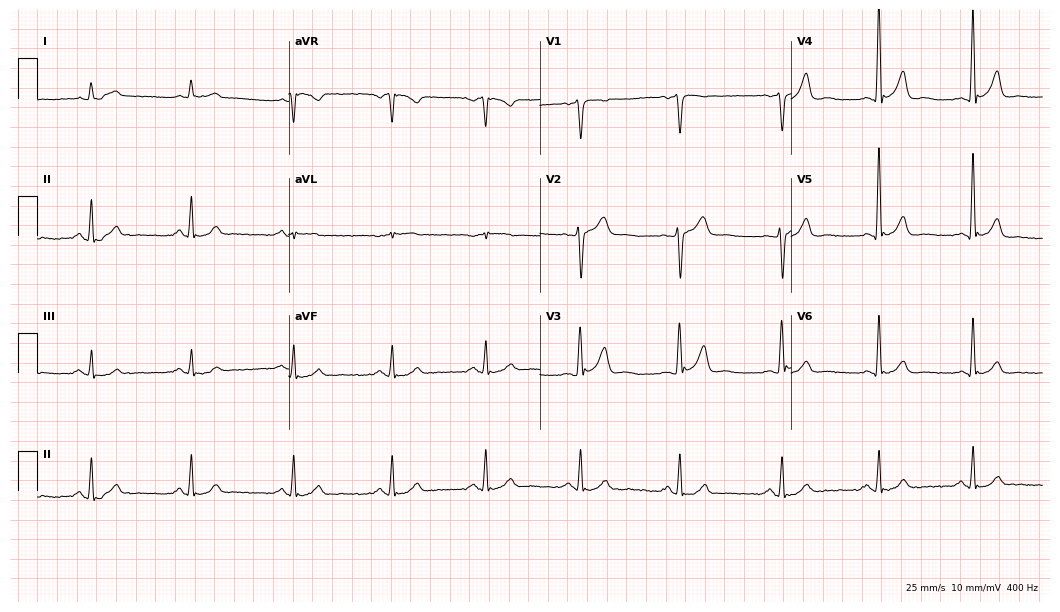
12-lead ECG (10.2-second recording at 400 Hz) from a 50-year-old man. Screened for six findings — first-degree AV block, right bundle branch block (RBBB), left bundle branch block (LBBB), sinus bradycardia, atrial fibrillation (AF), sinus tachycardia — none is recorded.